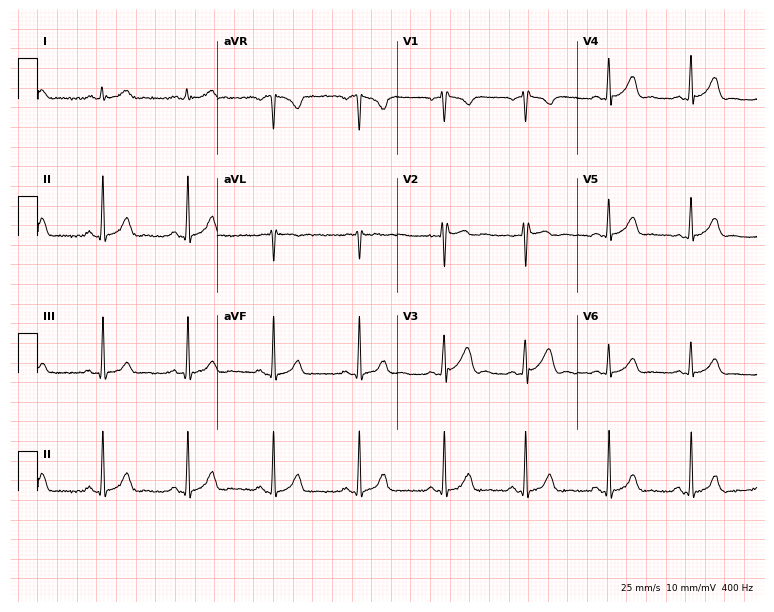
ECG (7.3-second recording at 400 Hz) — a male, 46 years old. Labelled as a normal ECG.